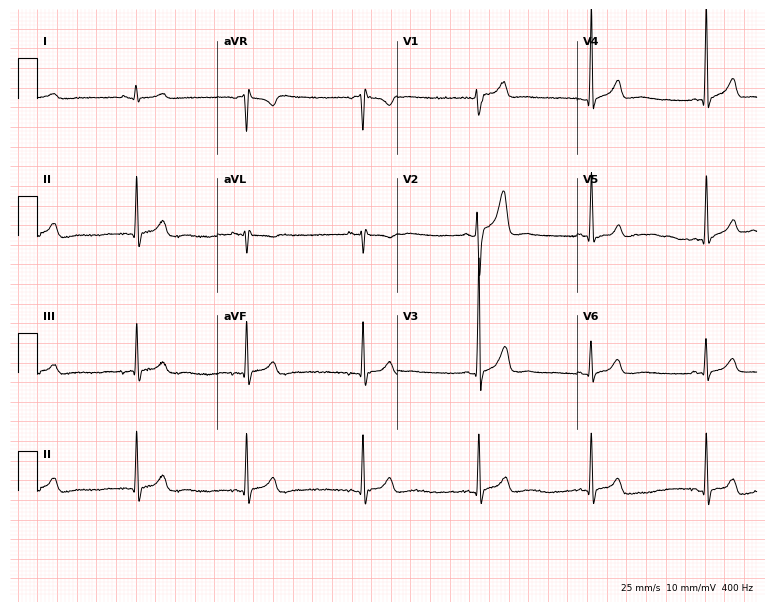
ECG — a 21-year-old man. Labelled as a normal ECG.